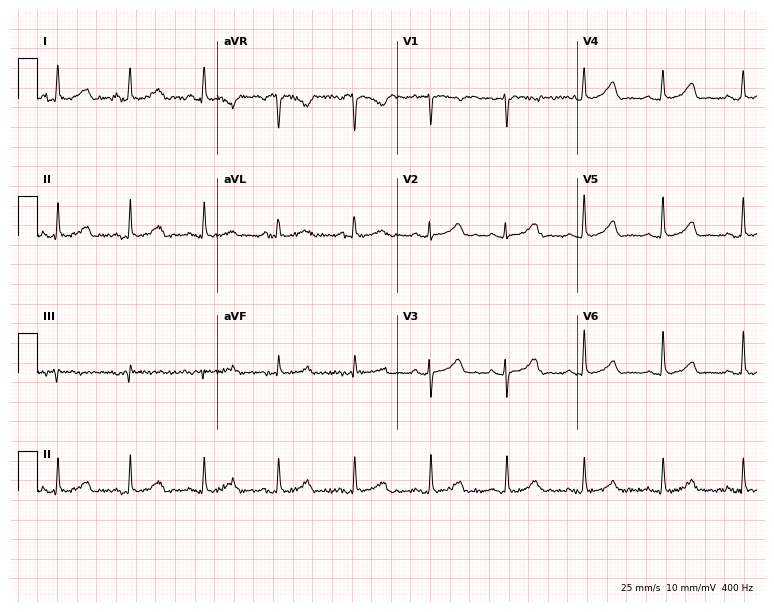
Standard 12-lead ECG recorded from a woman, 41 years old (7.3-second recording at 400 Hz). Read as a normal ECG.